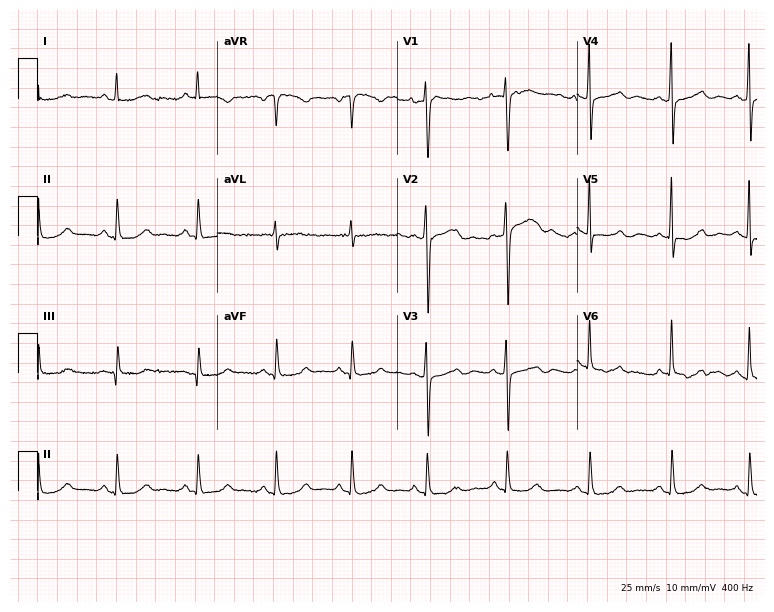
Standard 12-lead ECG recorded from a 74-year-old female patient (7.3-second recording at 400 Hz). None of these six findings is recorded: first-degree AV block, right bundle branch block, left bundle branch block, sinus bradycardia, atrial fibrillation, sinus tachycardia.